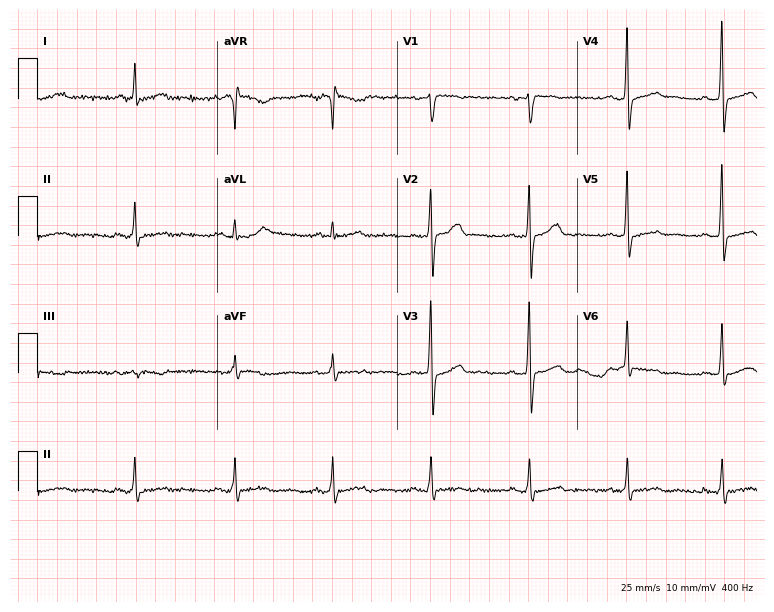
Electrocardiogram (7.3-second recording at 400 Hz), a male, 67 years old. Of the six screened findings (first-degree AV block, right bundle branch block, left bundle branch block, sinus bradycardia, atrial fibrillation, sinus tachycardia), none is recorded.